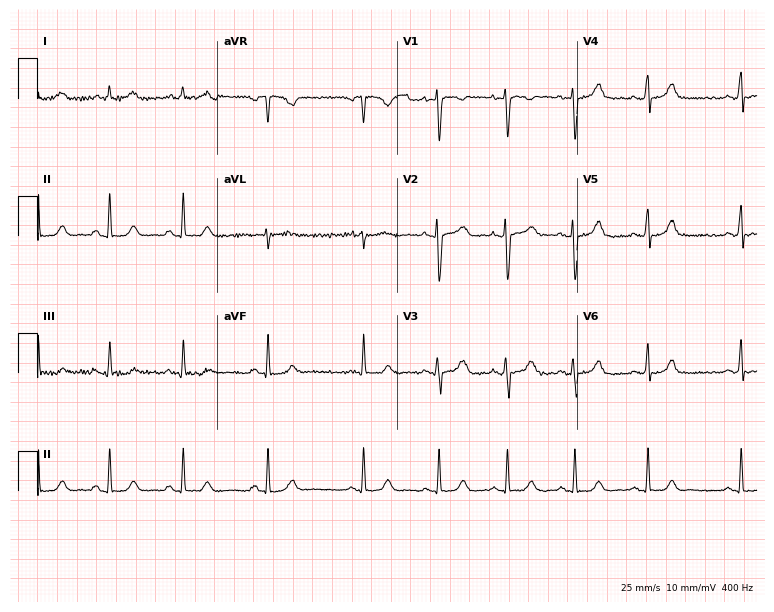
ECG — a woman, 18 years old. Screened for six findings — first-degree AV block, right bundle branch block, left bundle branch block, sinus bradycardia, atrial fibrillation, sinus tachycardia — none is recorded. Findings outside these six are not listed.